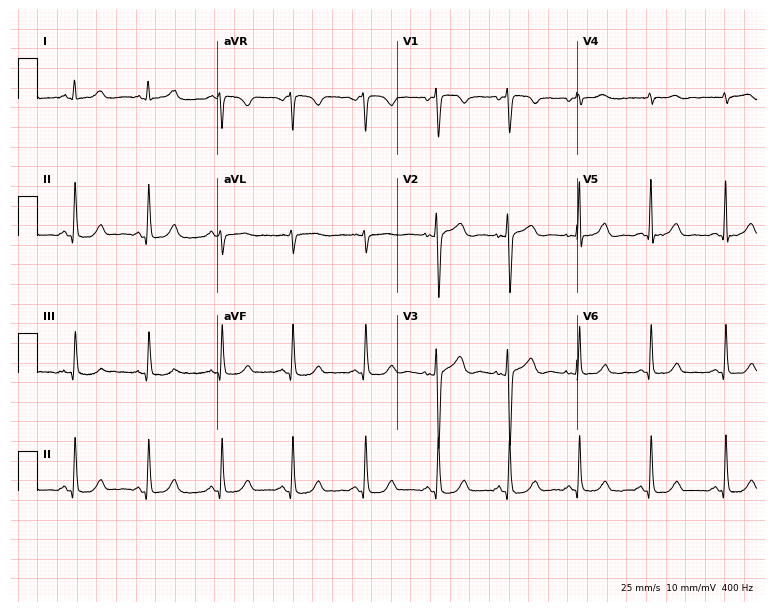
12-lead ECG (7.3-second recording at 400 Hz) from a 33-year-old female. Labelled as a normal ECG.